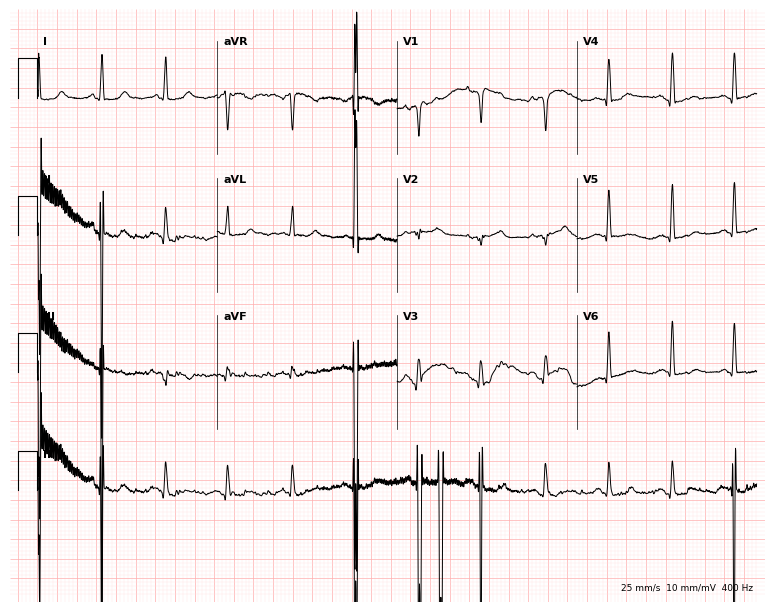
12-lead ECG from a 72-year-old woman. Screened for six findings — first-degree AV block, right bundle branch block, left bundle branch block, sinus bradycardia, atrial fibrillation, sinus tachycardia — none is recorded. Findings outside these six are not listed.